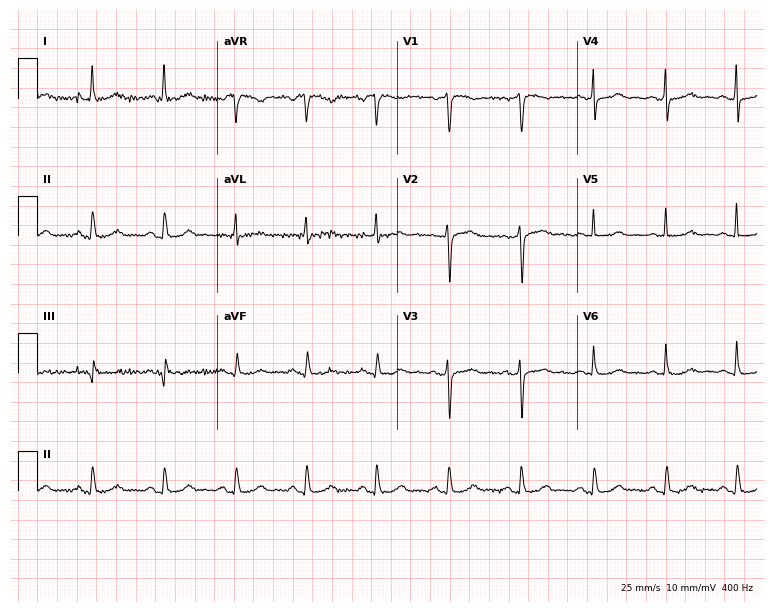
ECG (7.3-second recording at 400 Hz) — a woman, 63 years old. Labelled as a normal ECG.